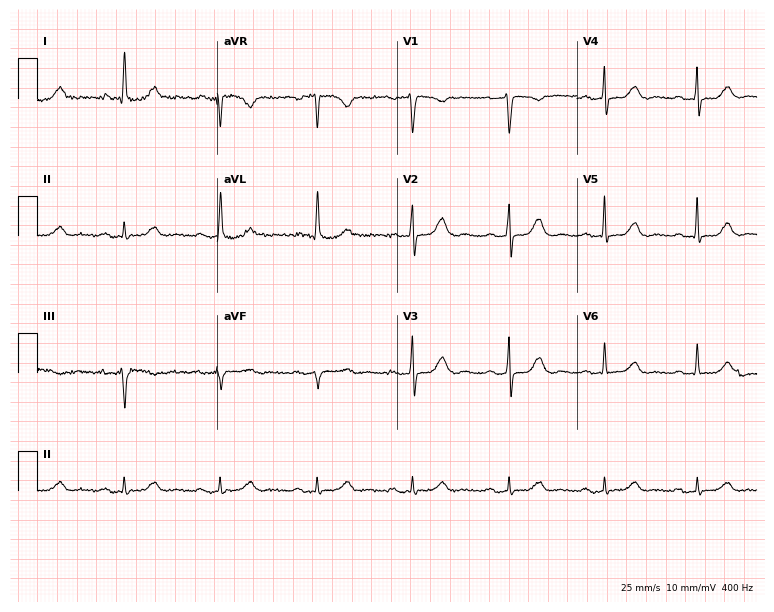
Electrocardiogram, a 79-year-old woman. Interpretation includes first-degree AV block.